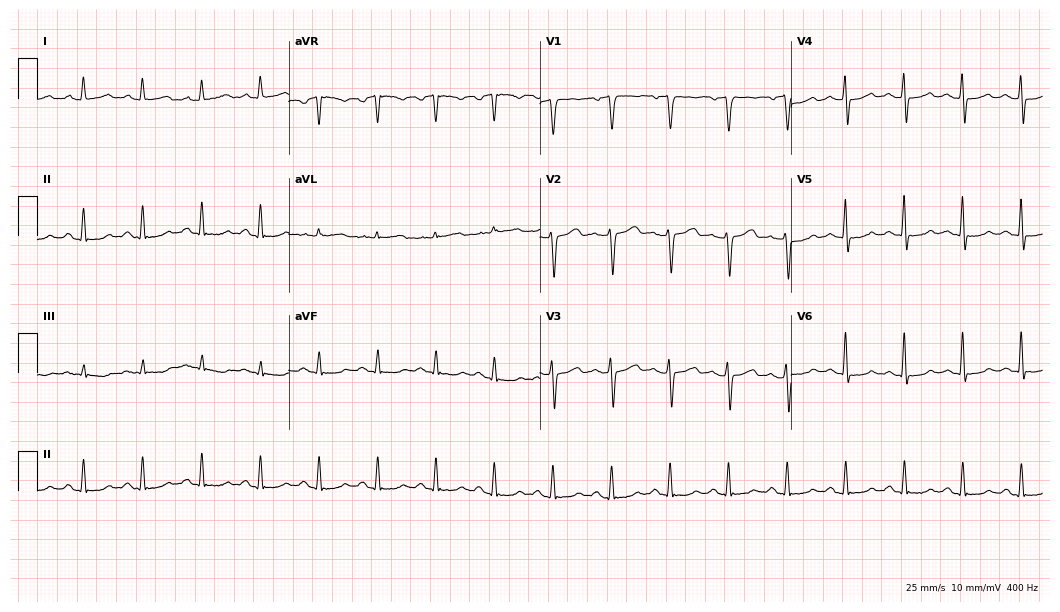
Electrocardiogram (10.2-second recording at 400 Hz), a man, 67 years old. Of the six screened findings (first-degree AV block, right bundle branch block (RBBB), left bundle branch block (LBBB), sinus bradycardia, atrial fibrillation (AF), sinus tachycardia), none is recorded. Only these six findings were labelled.